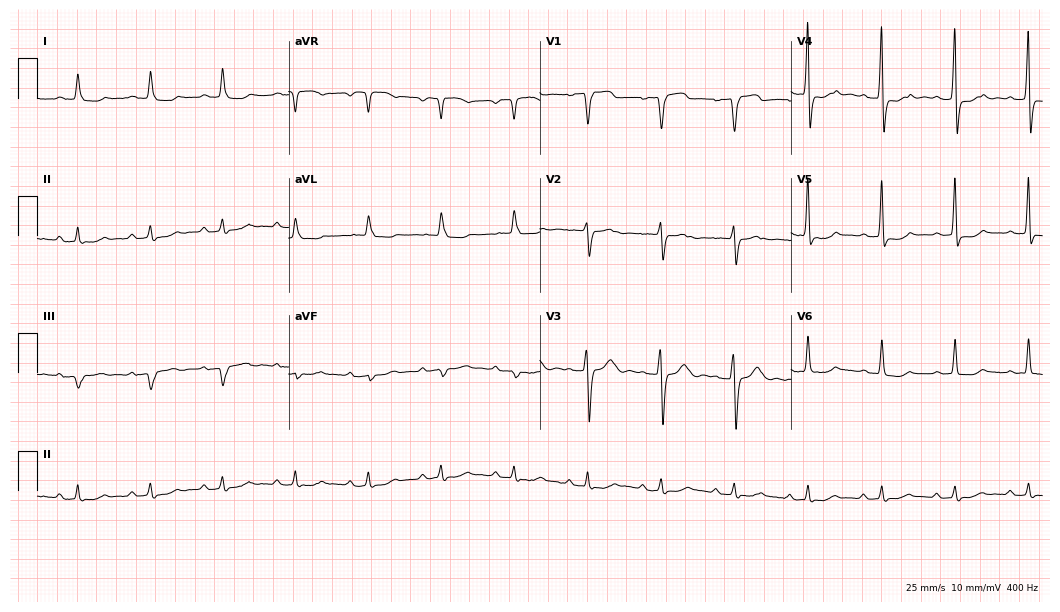
Standard 12-lead ECG recorded from a female, 84 years old (10.2-second recording at 400 Hz). None of these six findings is recorded: first-degree AV block, right bundle branch block, left bundle branch block, sinus bradycardia, atrial fibrillation, sinus tachycardia.